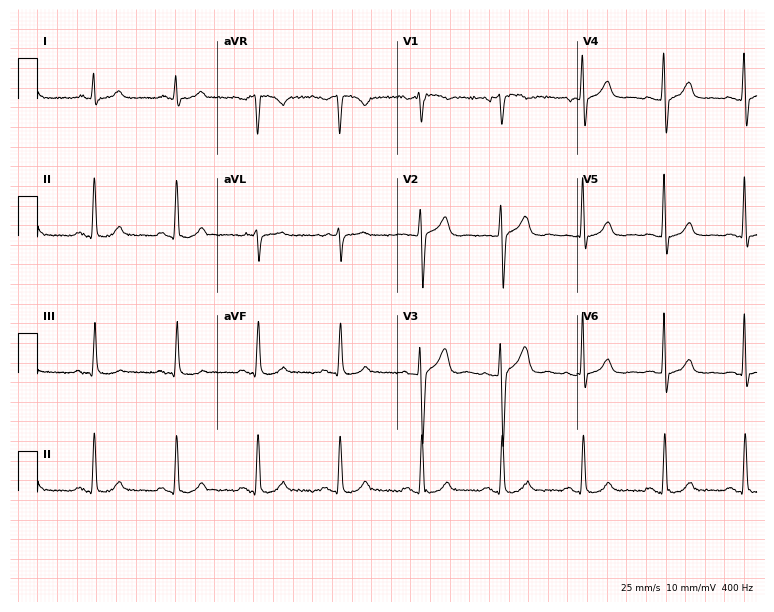
12-lead ECG from a man, 57 years old. Labelled as a normal ECG.